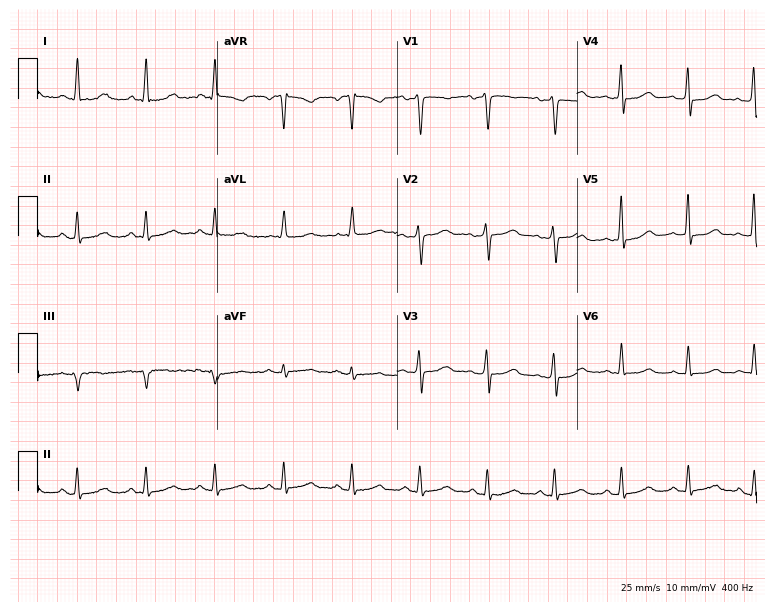
Electrocardiogram (7.3-second recording at 400 Hz), a female patient, 54 years old. Of the six screened findings (first-degree AV block, right bundle branch block (RBBB), left bundle branch block (LBBB), sinus bradycardia, atrial fibrillation (AF), sinus tachycardia), none is recorded. Findings outside these six are not listed.